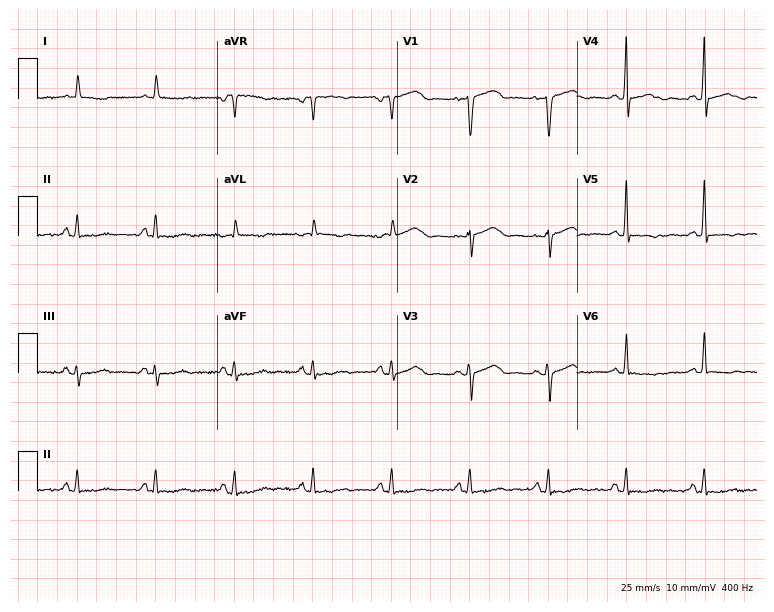
12-lead ECG from a female, 67 years old. Screened for six findings — first-degree AV block, right bundle branch block, left bundle branch block, sinus bradycardia, atrial fibrillation, sinus tachycardia — none is recorded. Other findings, if any, are not listed.